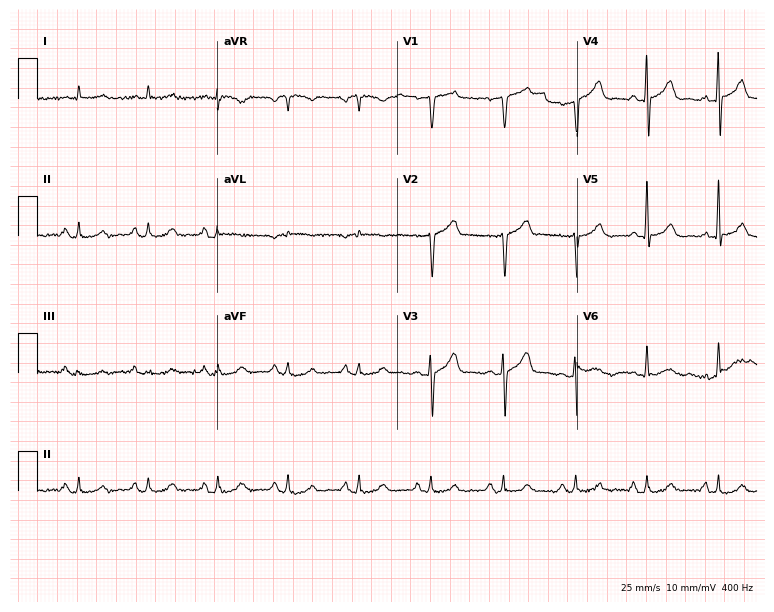
Electrocardiogram, an 83-year-old male patient. Of the six screened findings (first-degree AV block, right bundle branch block, left bundle branch block, sinus bradycardia, atrial fibrillation, sinus tachycardia), none is recorded. Other findings, if any, are not listed.